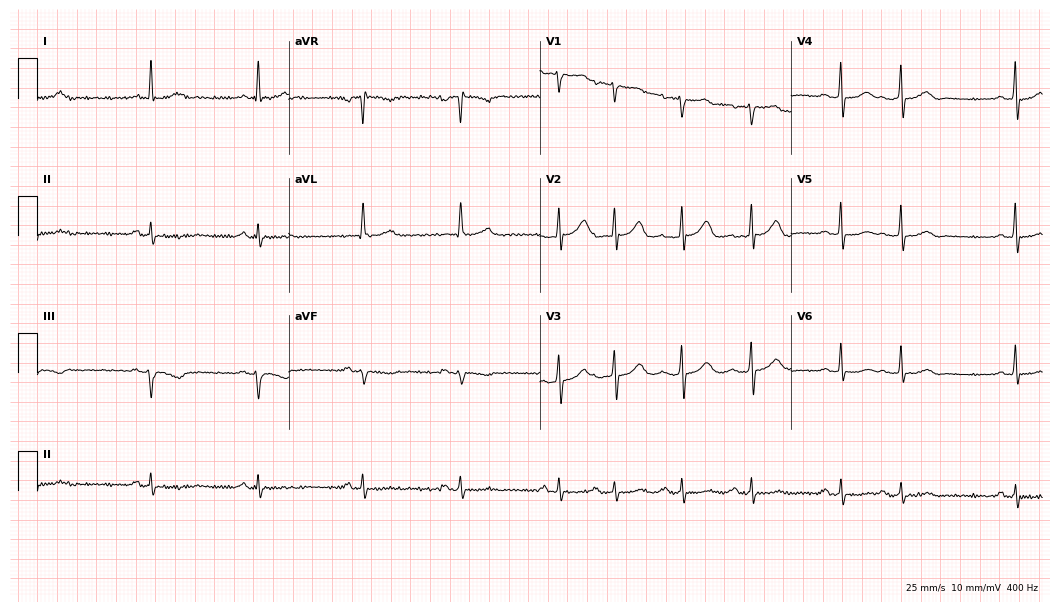
12-lead ECG (10.2-second recording at 400 Hz) from a 70-year-old female patient. Screened for six findings — first-degree AV block, right bundle branch block, left bundle branch block, sinus bradycardia, atrial fibrillation, sinus tachycardia — none is recorded.